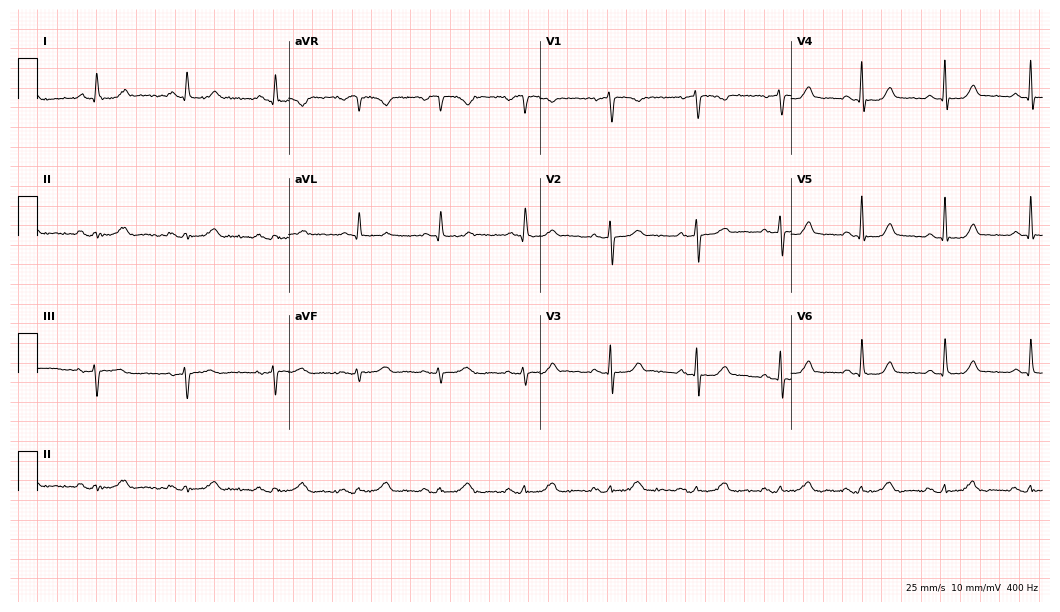
12-lead ECG (10.2-second recording at 400 Hz) from a female, 69 years old. Labelled as a normal ECG.